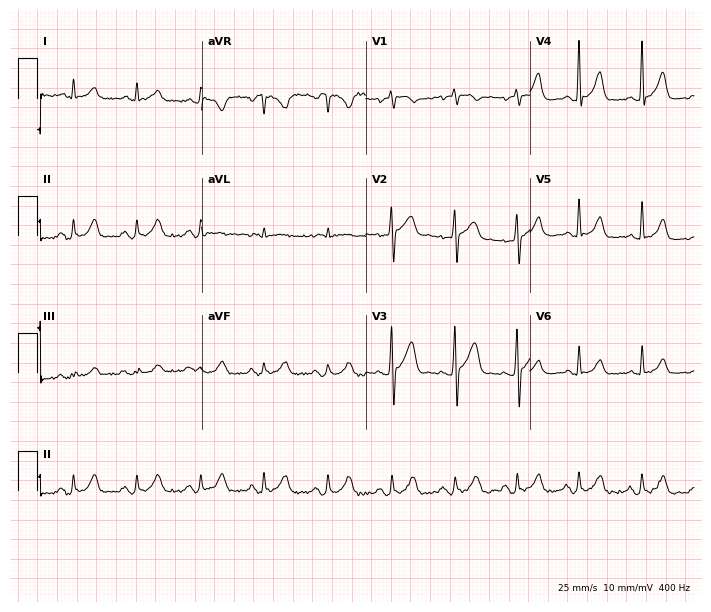
12-lead ECG (6.7-second recording at 400 Hz) from a 49-year-old man. Labelled as a normal ECG.